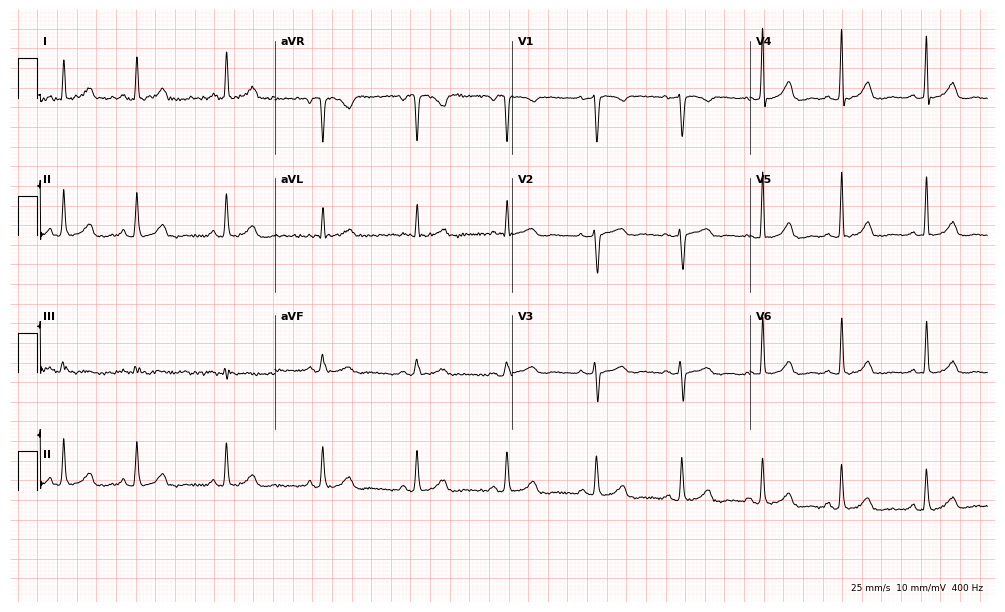
Resting 12-lead electrocardiogram. Patient: a female, 39 years old. Read as a normal ECG.